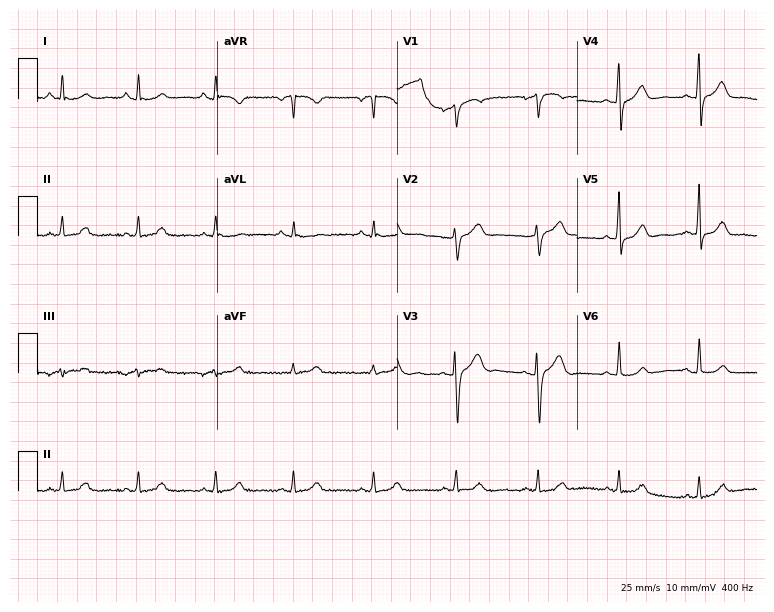
ECG — a female, 52 years old. Labelled as a normal ECG.